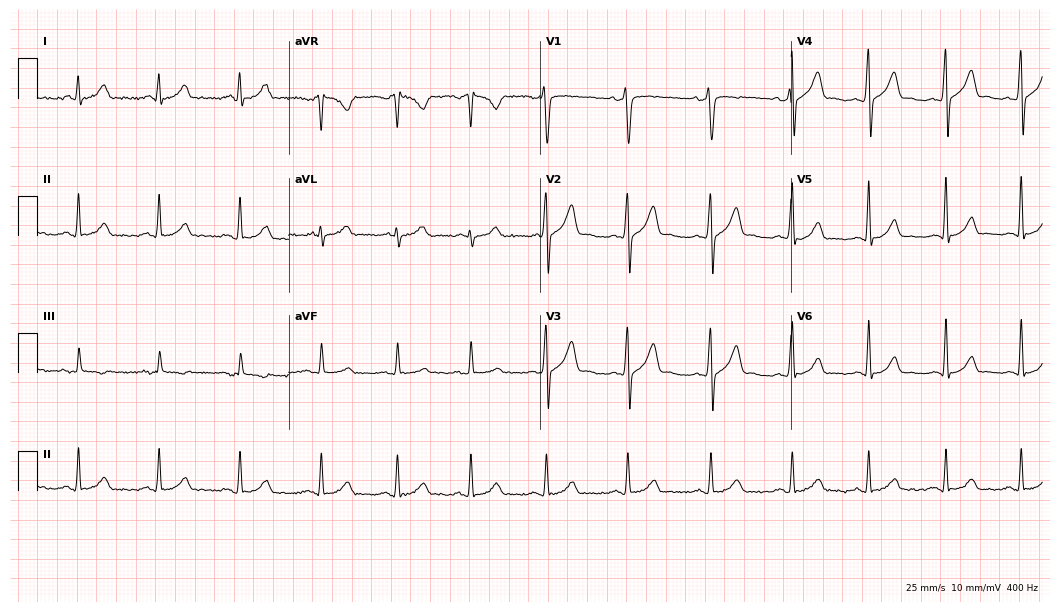
Electrocardiogram, a 29-year-old male. Overall reading on record: normal ECG.